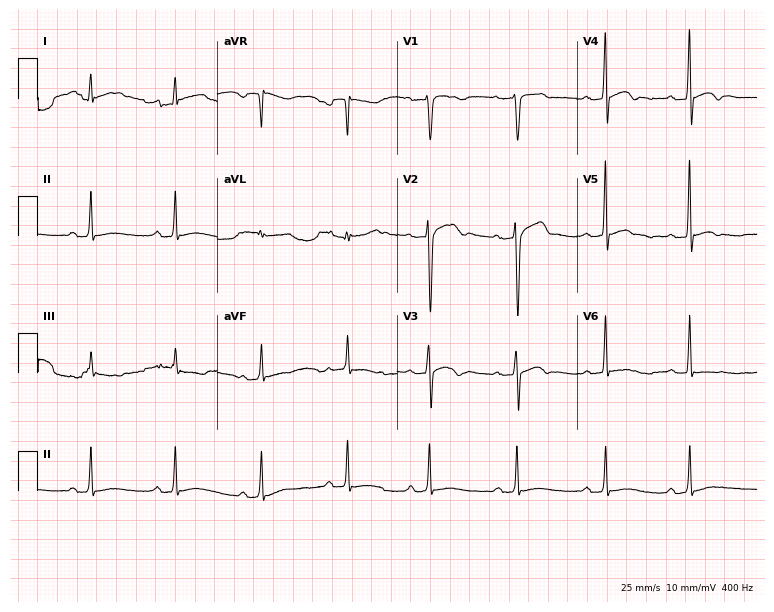
12-lead ECG from a 34-year-old male patient. Screened for six findings — first-degree AV block, right bundle branch block (RBBB), left bundle branch block (LBBB), sinus bradycardia, atrial fibrillation (AF), sinus tachycardia — none is recorded. Findings outside these six are not listed.